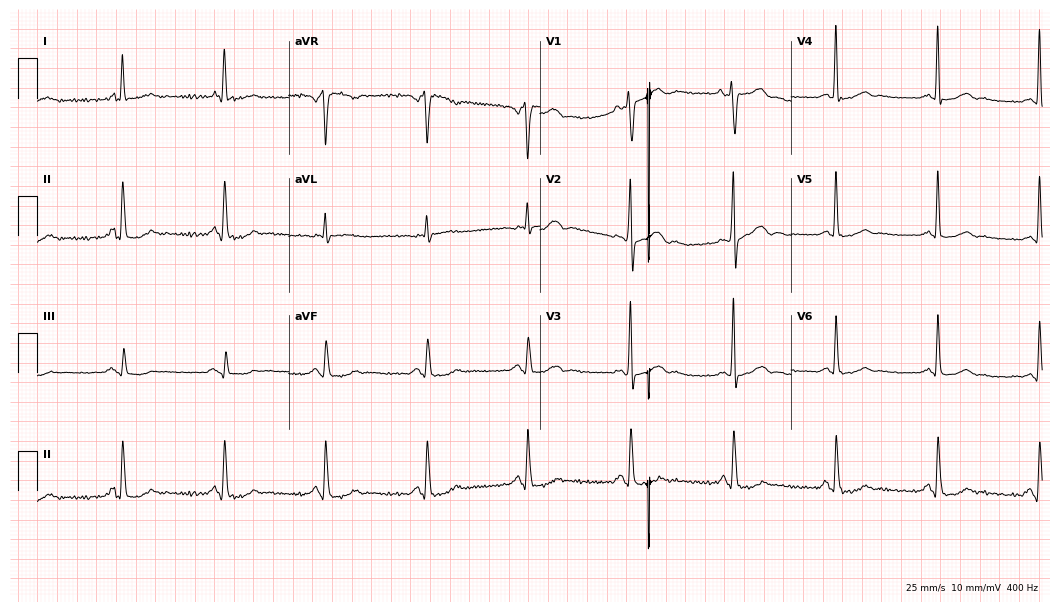
12-lead ECG (10.2-second recording at 400 Hz) from a man, 60 years old. Labelled as a normal ECG.